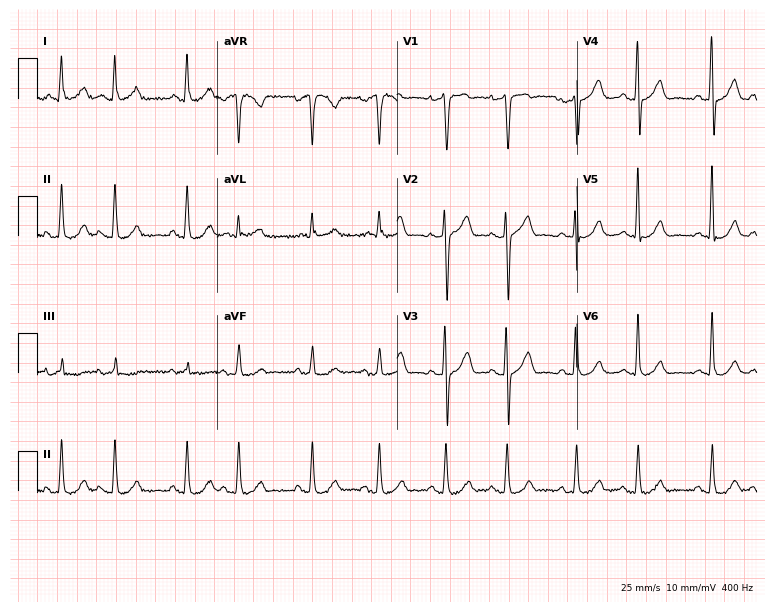
ECG — a 72-year-old man. Screened for six findings — first-degree AV block, right bundle branch block (RBBB), left bundle branch block (LBBB), sinus bradycardia, atrial fibrillation (AF), sinus tachycardia — none is recorded.